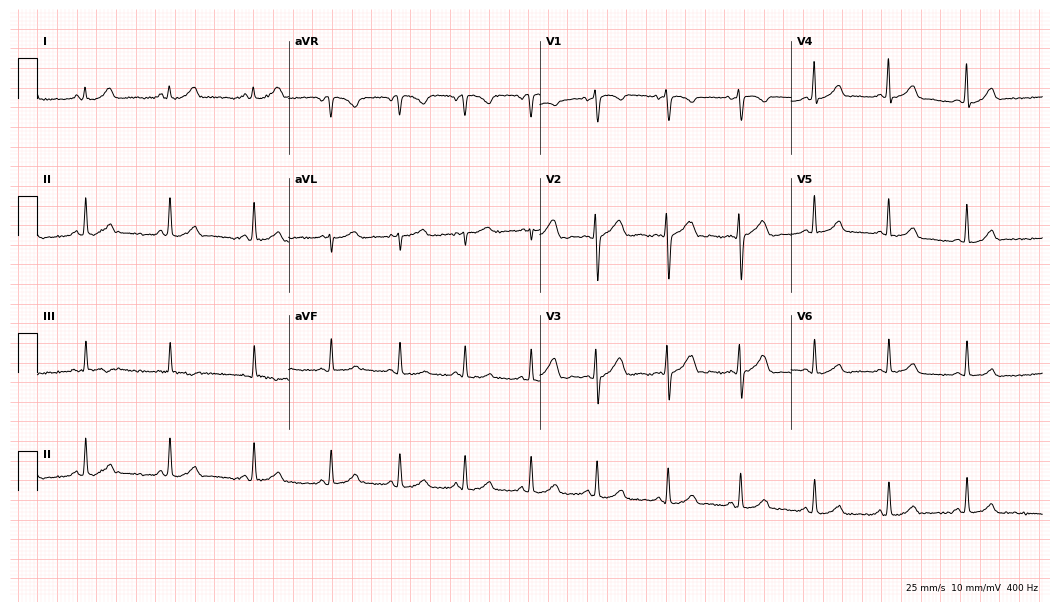
Resting 12-lead electrocardiogram (10.2-second recording at 400 Hz). Patient: a female, 24 years old. Read as a normal ECG.